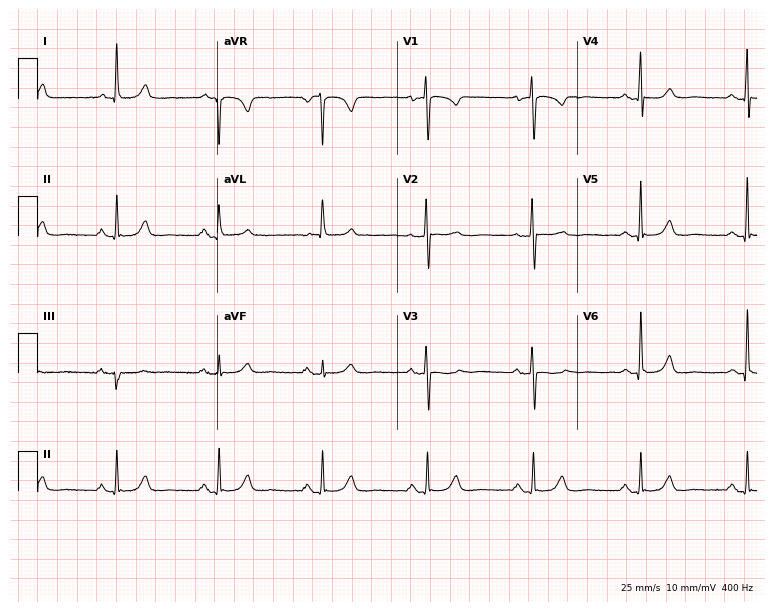
12-lead ECG (7.3-second recording at 400 Hz) from a 68-year-old female. Labelled as a normal ECG.